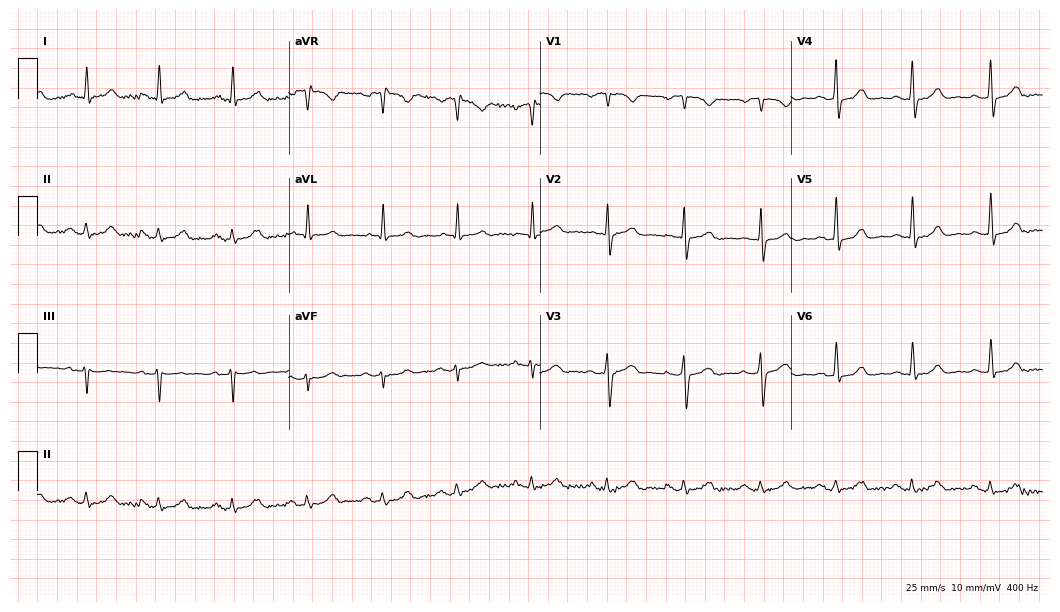
Resting 12-lead electrocardiogram (10.2-second recording at 400 Hz). Patient: a 72-year-old male. None of these six findings is recorded: first-degree AV block, right bundle branch block (RBBB), left bundle branch block (LBBB), sinus bradycardia, atrial fibrillation (AF), sinus tachycardia.